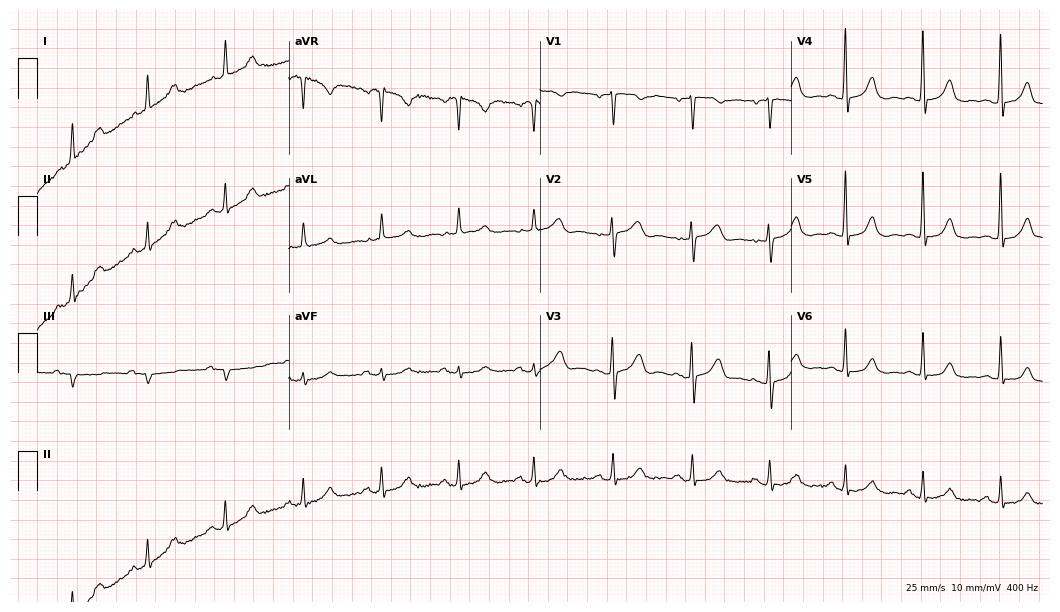
12-lead ECG from a female patient, 68 years old. Recorded interpretation: within normal limits.